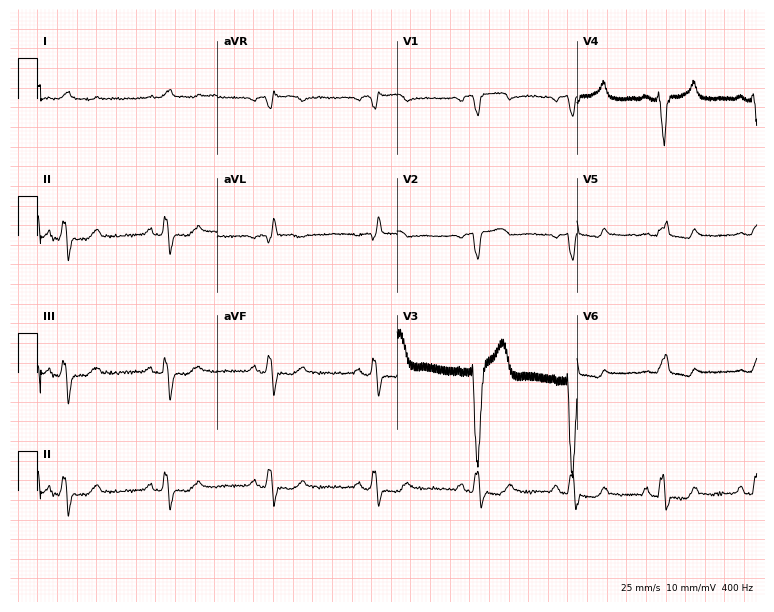
ECG — an 81-year-old man. Findings include left bundle branch block.